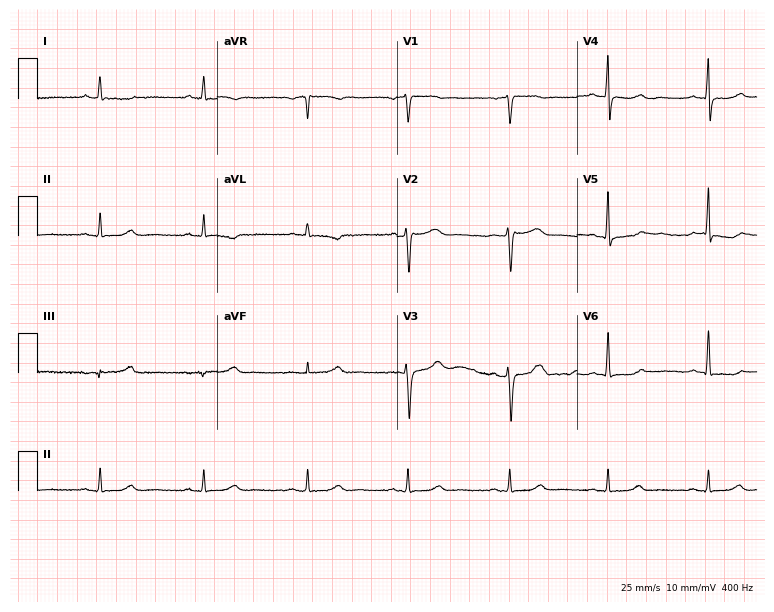
12-lead ECG from a 59-year-old female patient. Recorded interpretation: within normal limits.